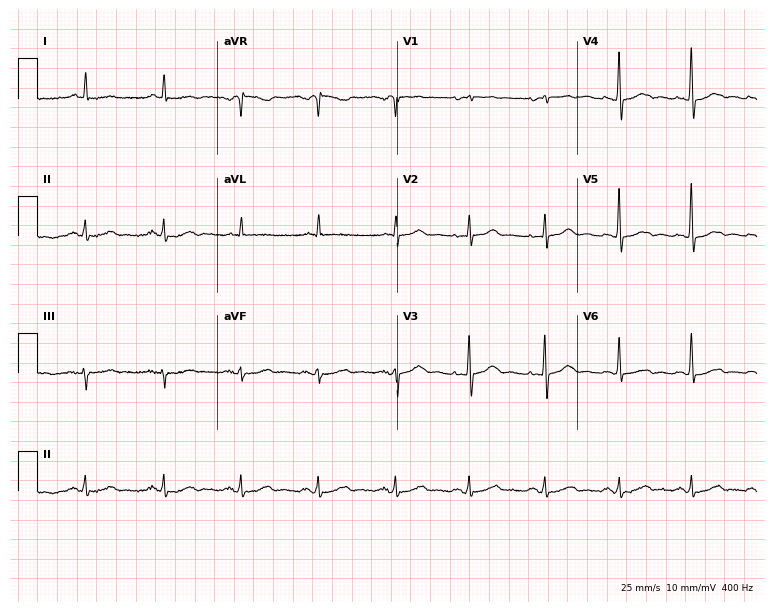
Standard 12-lead ECG recorded from a female patient, 79 years old (7.3-second recording at 400 Hz). Read as a normal ECG.